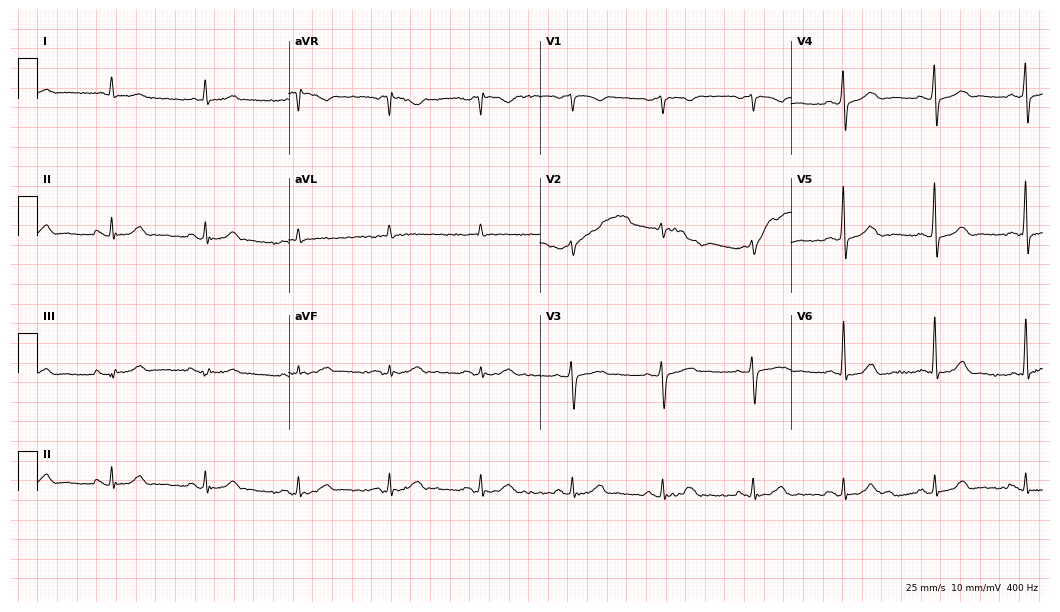
12-lead ECG (10.2-second recording at 400 Hz) from a female, 80 years old. Labelled as a normal ECG.